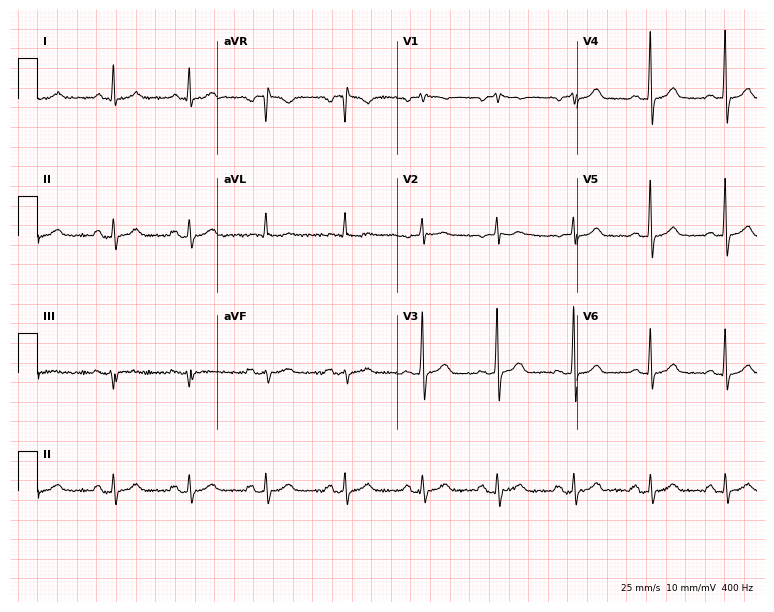
Standard 12-lead ECG recorded from a woman, 65 years old (7.3-second recording at 400 Hz). Read as a normal ECG.